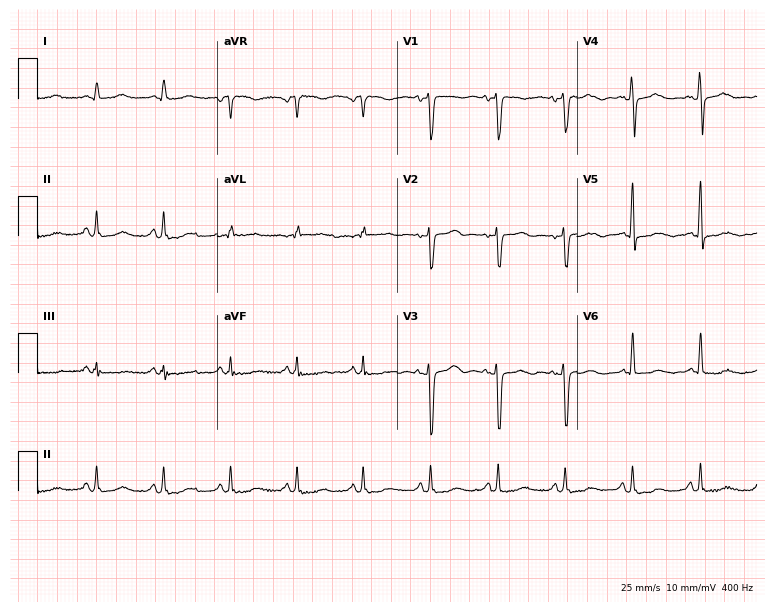
12-lead ECG from a woman, 66 years old. Screened for six findings — first-degree AV block, right bundle branch block, left bundle branch block, sinus bradycardia, atrial fibrillation, sinus tachycardia — none is recorded. Other findings, if any, are not listed.